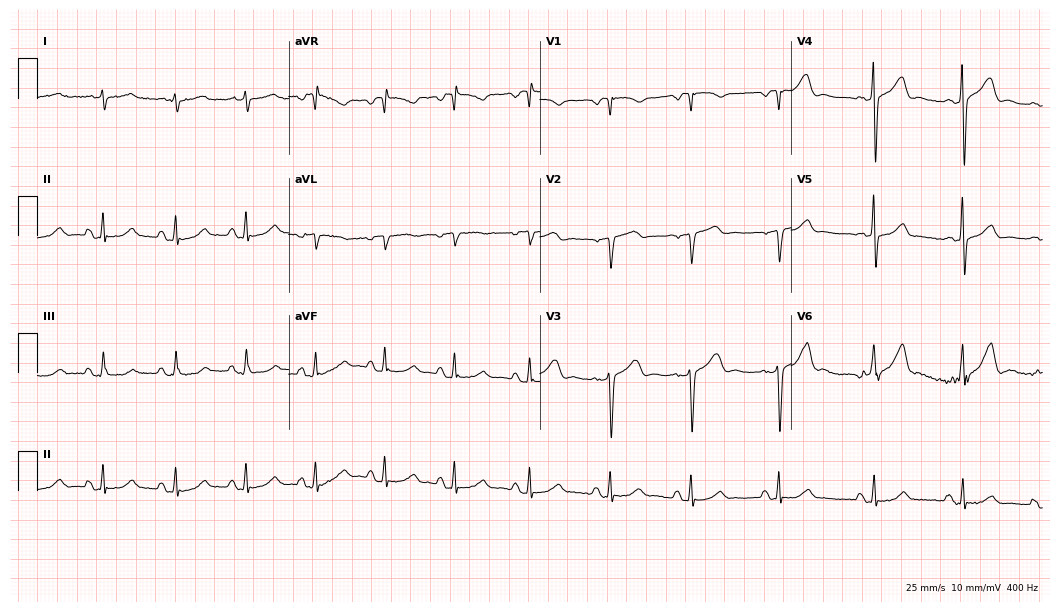
Electrocardiogram (10.2-second recording at 400 Hz), a man, 84 years old. Of the six screened findings (first-degree AV block, right bundle branch block, left bundle branch block, sinus bradycardia, atrial fibrillation, sinus tachycardia), none is recorded.